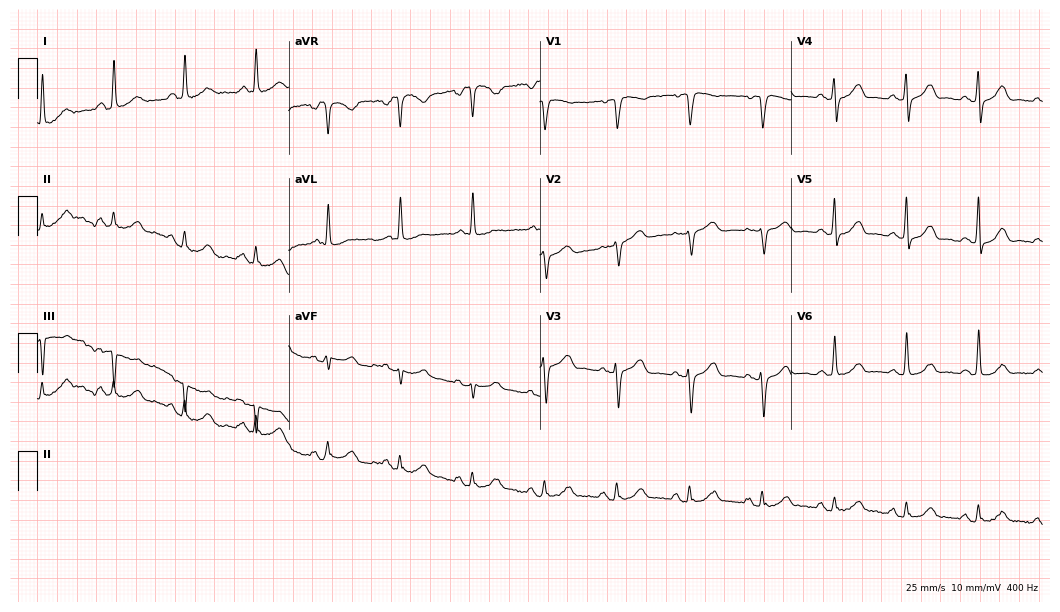
Electrocardiogram, a 67-year-old woman. Overall reading on record: normal ECG.